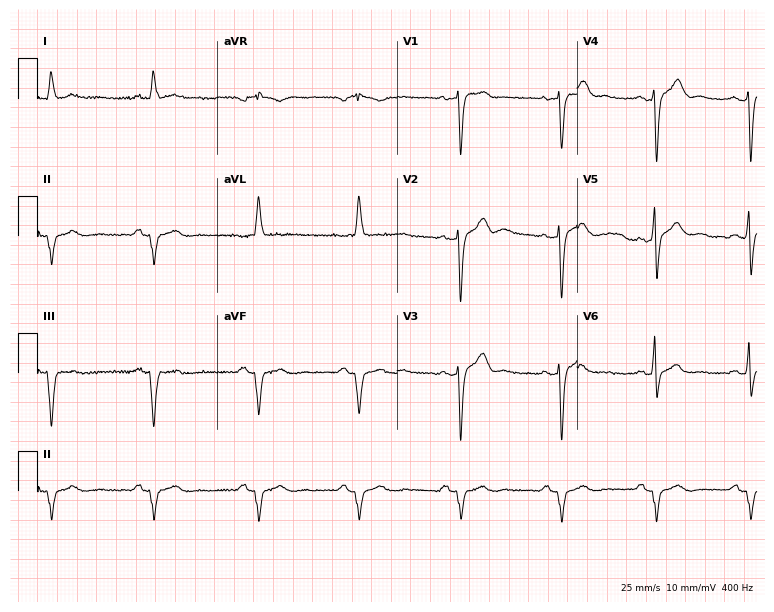
12-lead ECG from a 56-year-old male patient. Screened for six findings — first-degree AV block, right bundle branch block, left bundle branch block, sinus bradycardia, atrial fibrillation, sinus tachycardia — none is recorded. Other findings, if any, are not listed.